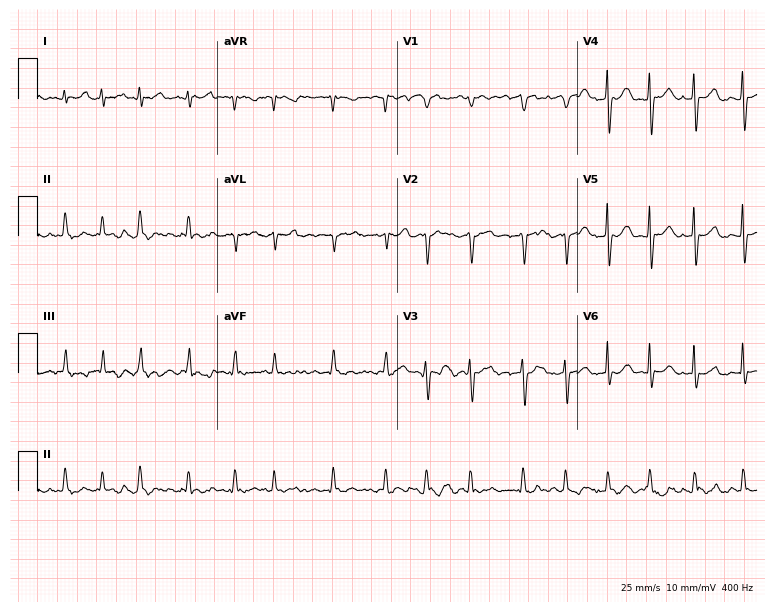
Standard 12-lead ECG recorded from a female patient, 69 years old (7.3-second recording at 400 Hz). The tracing shows atrial fibrillation (AF).